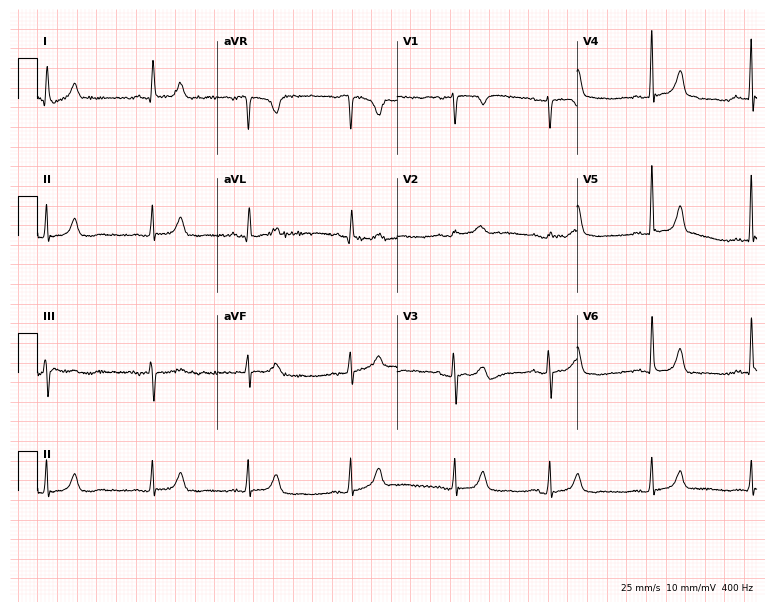
ECG (7.3-second recording at 400 Hz) — a female patient, 67 years old. Screened for six findings — first-degree AV block, right bundle branch block, left bundle branch block, sinus bradycardia, atrial fibrillation, sinus tachycardia — none is recorded. Other findings, if any, are not listed.